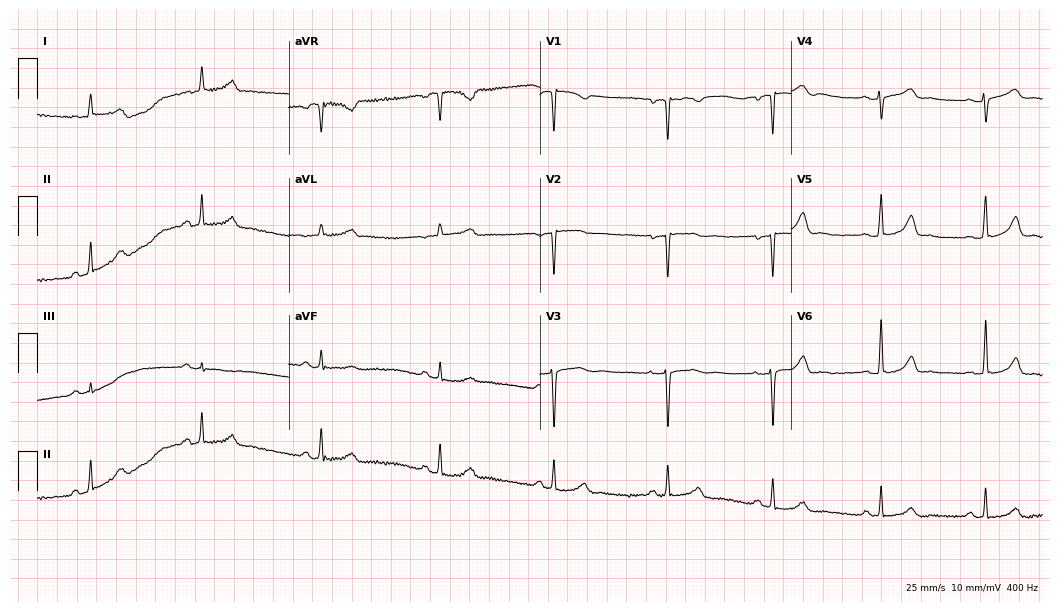
Resting 12-lead electrocardiogram. Patient: a woman, 49 years old. None of these six findings is recorded: first-degree AV block, right bundle branch block, left bundle branch block, sinus bradycardia, atrial fibrillation, sinus tachycardia. Other findings, if any, are not listed.